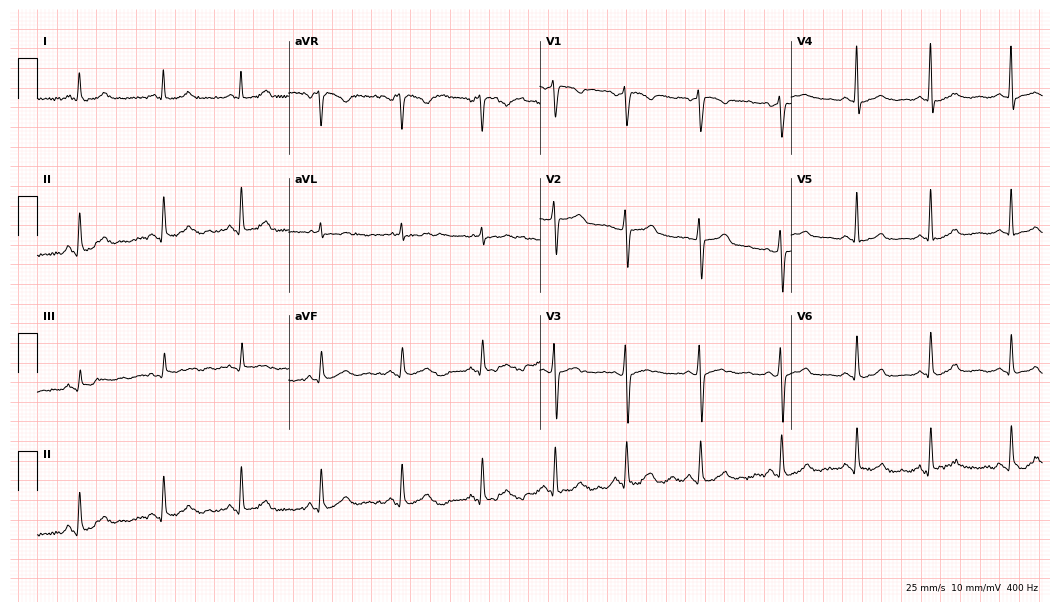
12-lead ECG from a female patient, 46 years old. No first-degree AV block, right bundle branch block (RBBB), left bundle branch block (LBBB), sinus bradycardia, atrial fibrillation (AF) or sinus tachycardia recorded for this tracing.